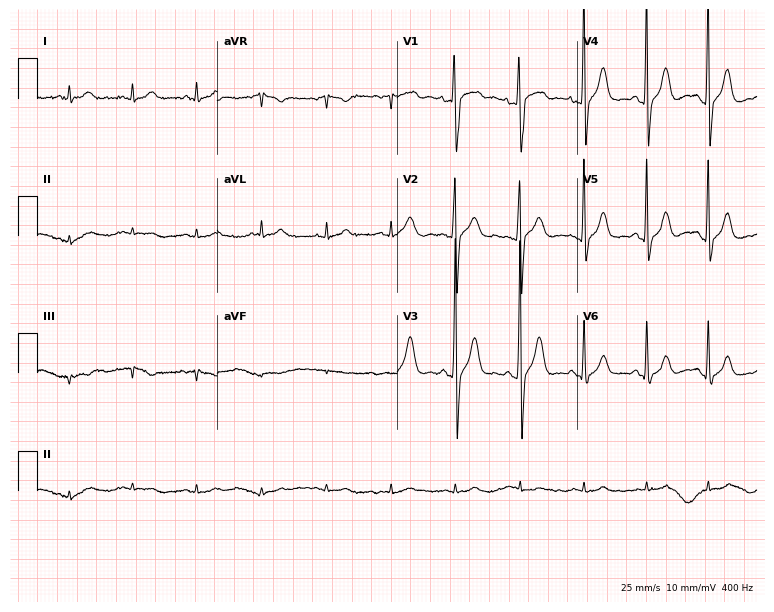
12-lead ECG from a man, 28 years old (7.3-second recording at 400 Hz). No first-degree AV block, right bundle branch block (RBBB), left bundle branch block (LBBB), sinus bradycardia, atrial fibrillation (AF) or sinus tachycardia recorded for this tracing.